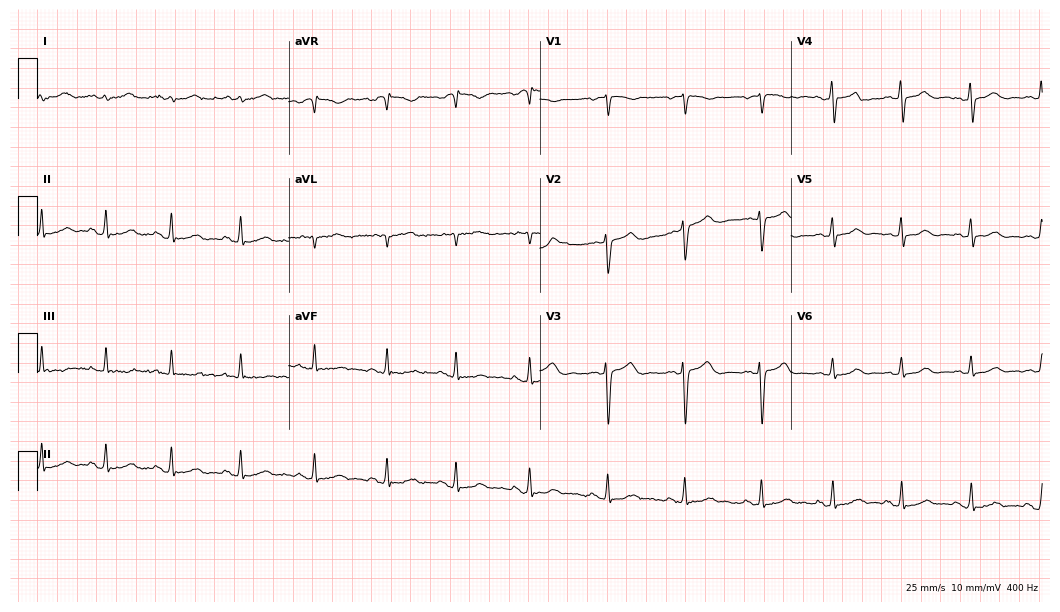
ECG (10.2-second recording at 400 Hz) — a female patient, 27 years old. Labelled as a normal ECG.